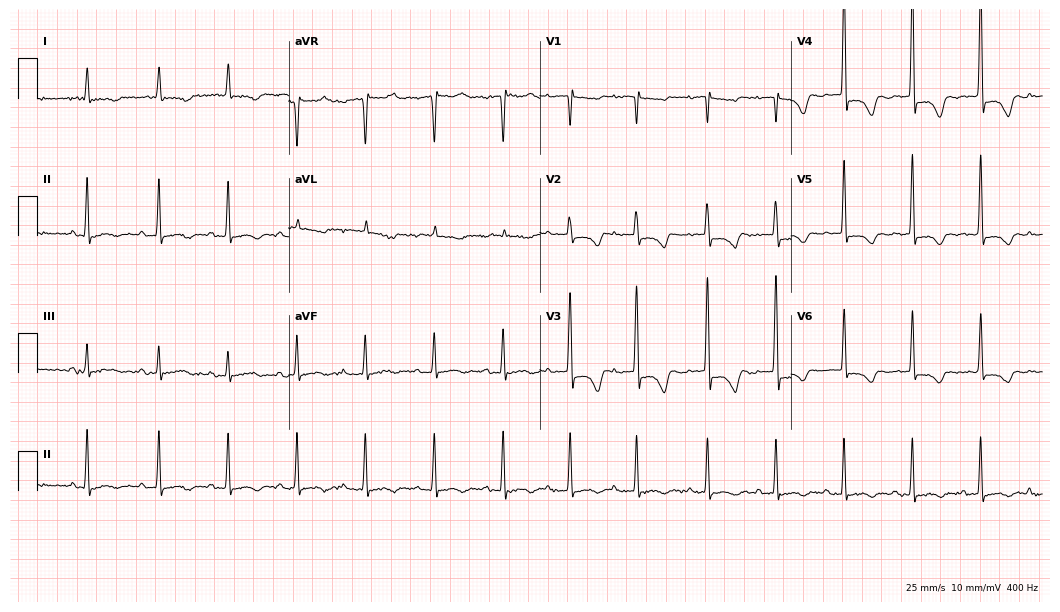
12-lead ECG from a female patient, 81 years old (10.2-second recording at 400 Hz). Recorded interpretation: within normal limits.